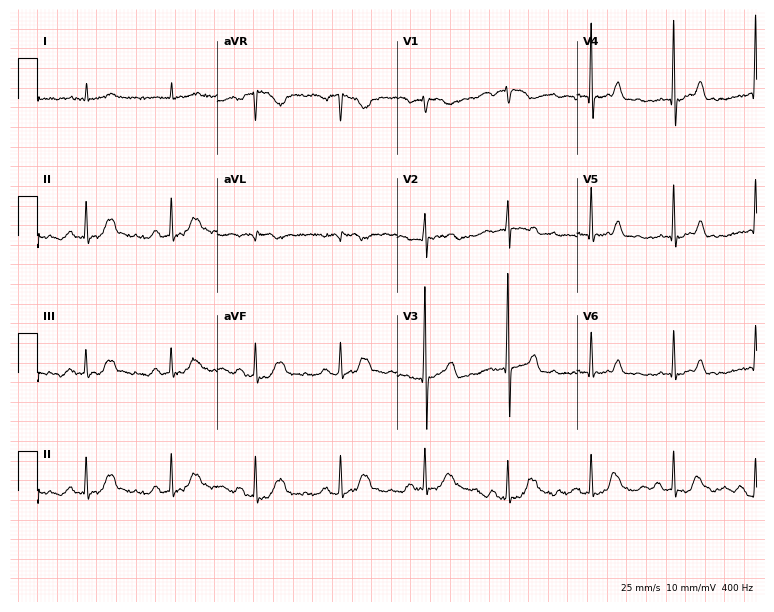
12-lead ECG (7.3-second recording at 400 Hz) from a woman, 67 years old. Screened for six findings — first-degree AV block, right bundle branch block, left bundle branch block, sinus bradycardia, atrial fibrillation, sinus tachycardia — none is recorded.